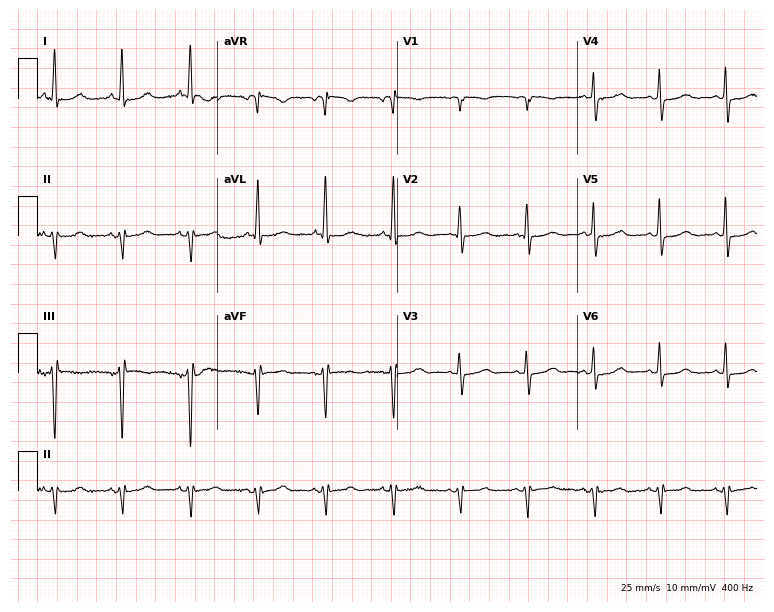
Standard 12-lead ECG recorded from a female patient, 75 years old. None of these six findings is recorded: first-degree AV block, right bundle branch block, left bundle branch block, sinus bradycardia, atrial fibrillation, sinus tachycardia. Other findings, if any, are not listed.